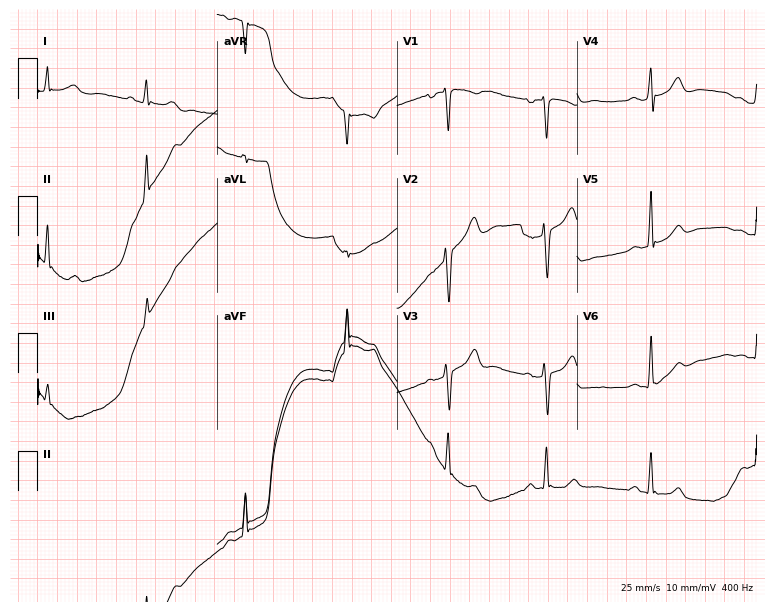
Electrocardiogram, a 61-year-old woman. Of the six screened findings (first-degree AV block, right bundle branch block (RBBB), left bundle branch block (LBBB), sinus bradycardia, atrial fibrillation (AF), sinus tachycardia), none is recorded.